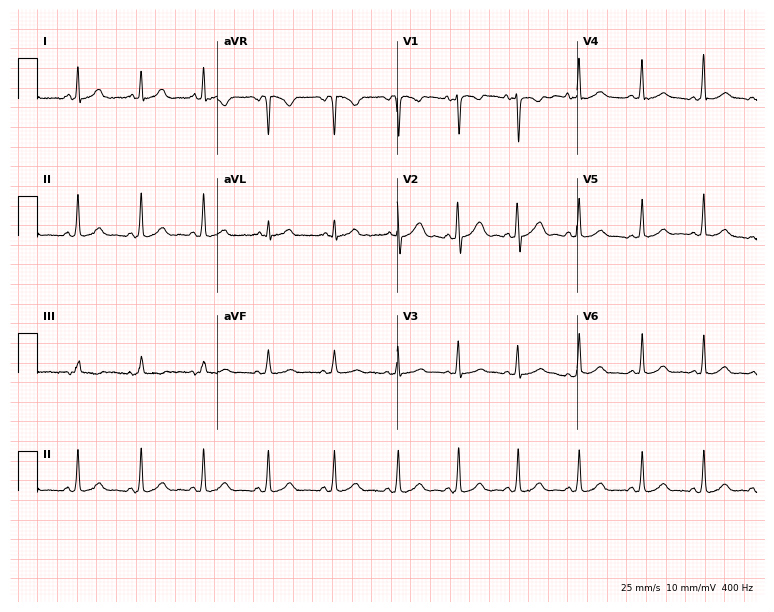
12-lead ECG (7.3-second recording at 400 Hz) from a 23-year-old female. Labelled as a normal ECG.